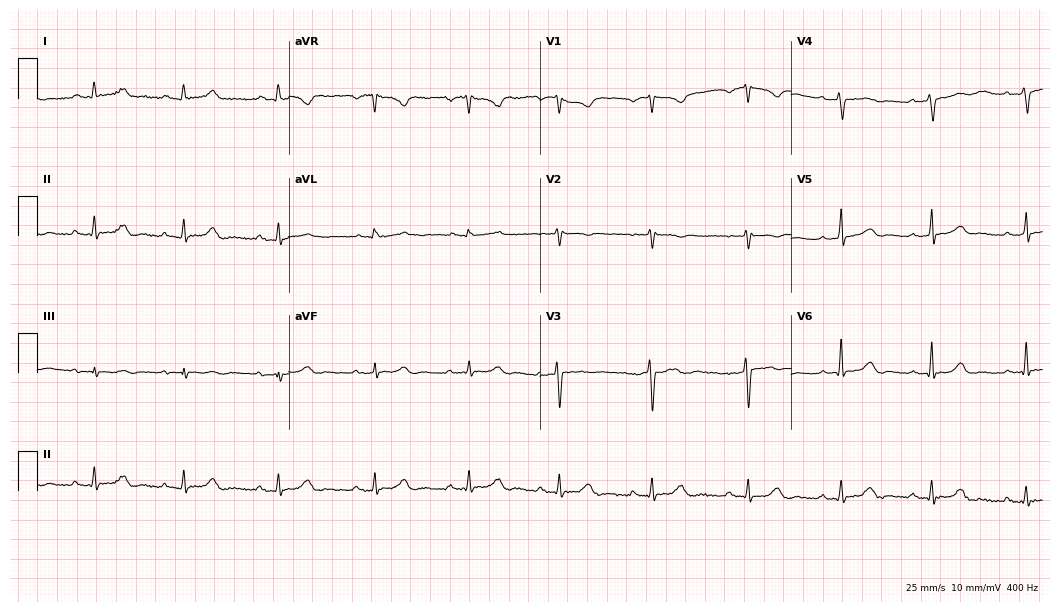
12-lead ECG from a 33-year-old female patient. Recorded interpretation: within normal limits.